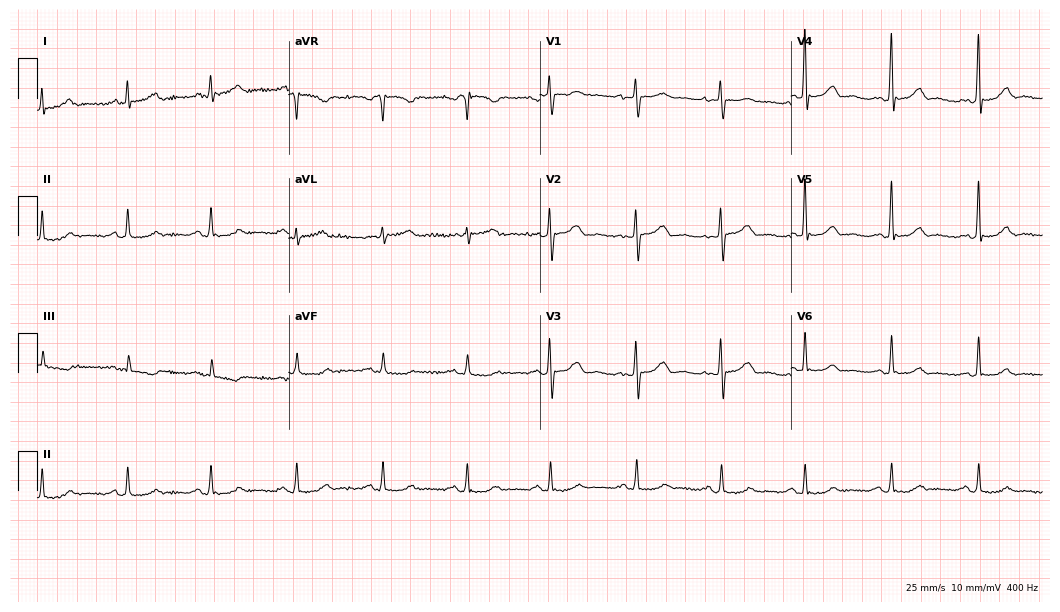
Standard 12-lead ECG recorded from a 65-year-old woman. None of these six findings is recorded: first-degree AV block, right bundle branch block (RBBB), left bundle branch block (LBBB), sinus bradycardia, atrial fibrillation (AF), sinus tachycardia. Only these six findings were labelled.